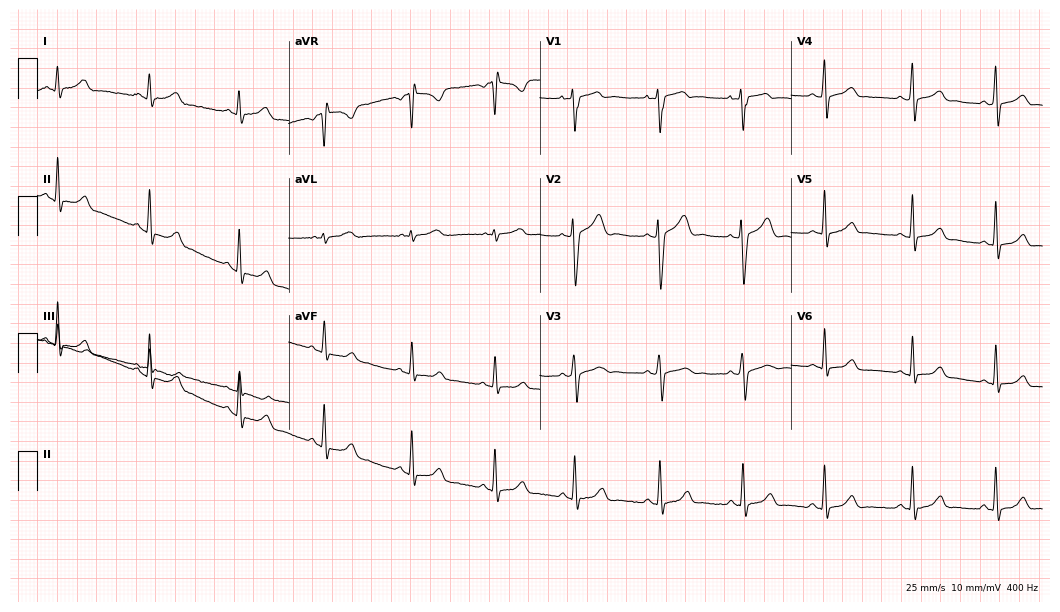
Standard 12-lead ECG recorded from a 17-year-old female. Read as a normal ECG.